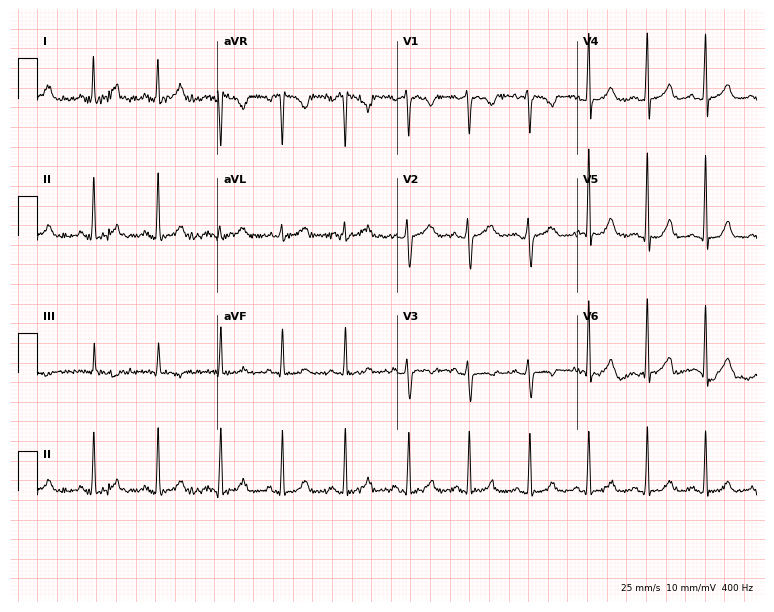
12-lead ECG (7.3-second recording at 400 Hz) from a woman, 30 years old. Labelled as a normal ECG.